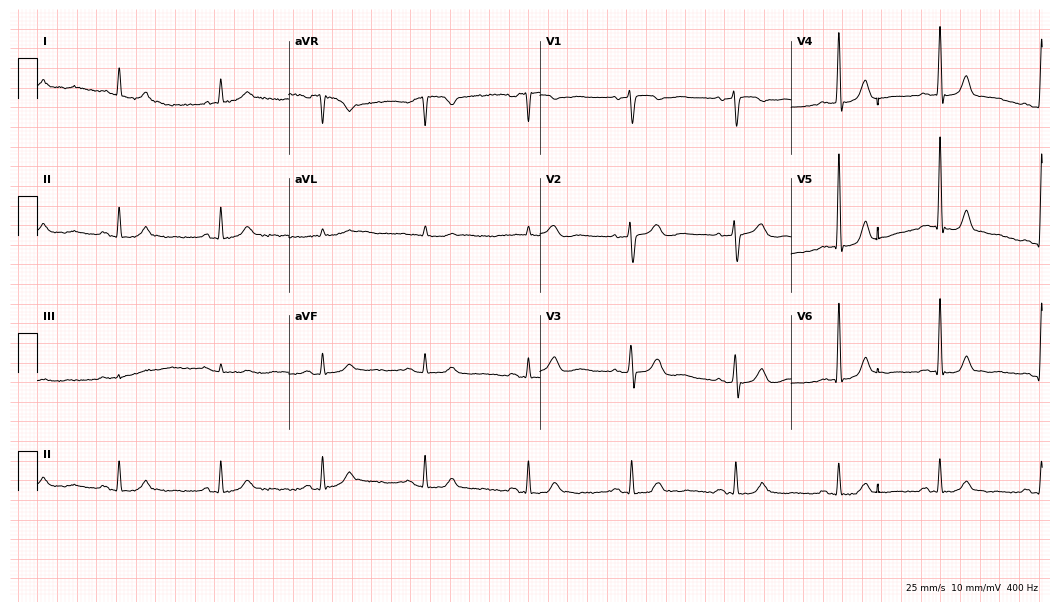
Electrocardiogram, a man, 73 years old. Overall reading on record: normal ECG.